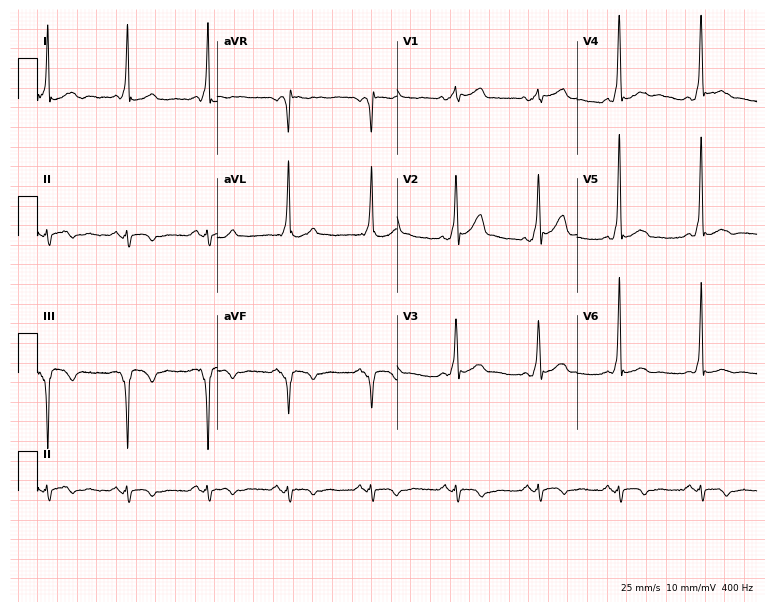
12-lead ECG from a male patient, 40 years old. Screened for six findings — first-degree AV block, right bundle branch block, left bundle branch block, sinus bradycardia, atrial fibrillation, sinus tachycardia — none is recorded.